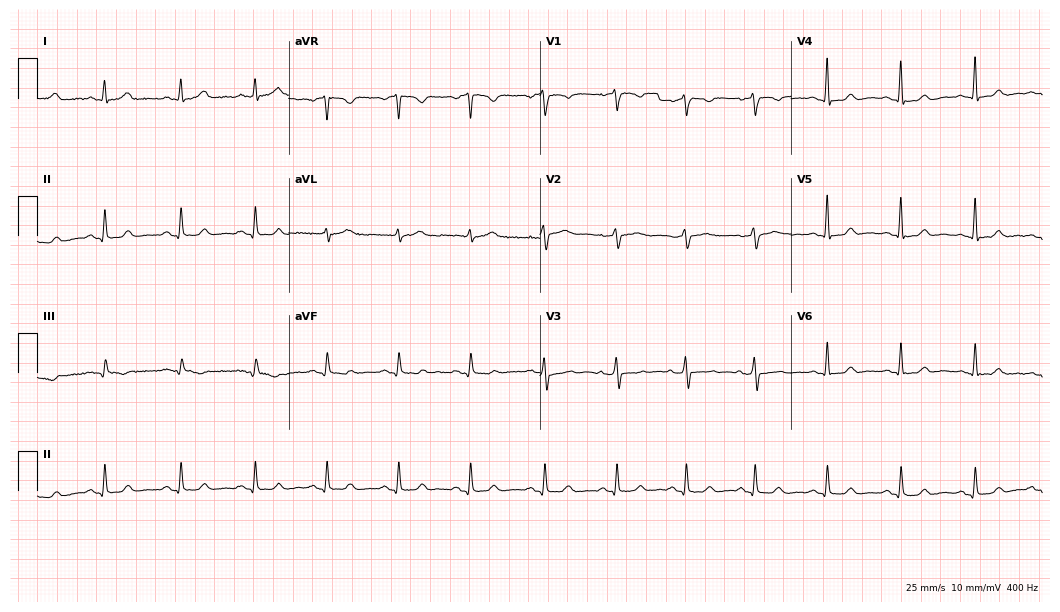
Resting 12-lead electrocardiogram (10.2-second recording at 400 Hz). Patient: a female, 36 years old. Read as a normal ECG.